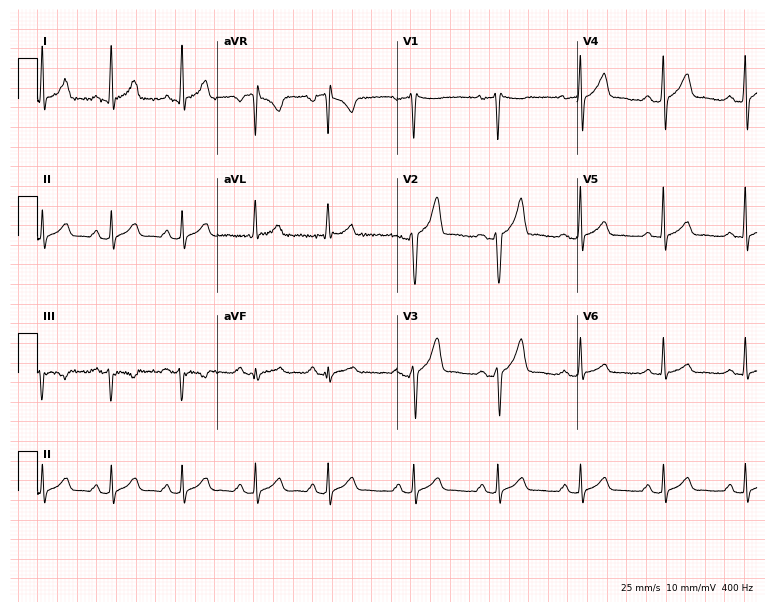
12-lead ECG from a man, 40 years old. Labelled as a normal ECG.